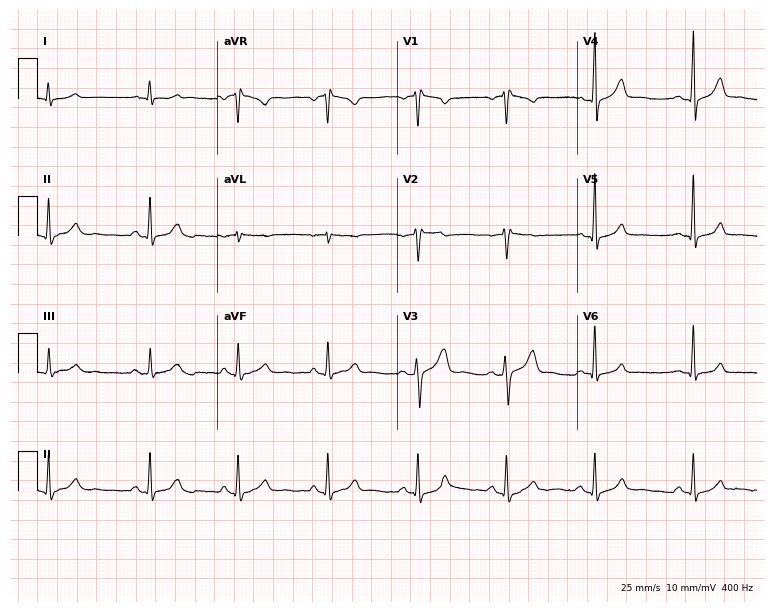
Electrocardiogram, a 36-year-old man. Of the six screened findings (first-degree AV block, right bundle branch block (RBBB), left bundle branch block (LBBB), sinus bradycardia, atrial fibrillation (AF), sinus tachycardia), none is recorded. Only these six findings were labelled.